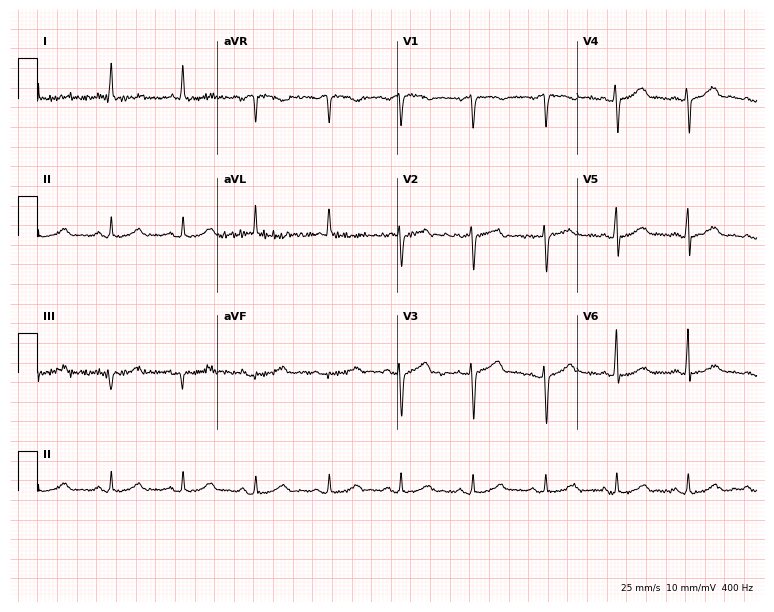
12-lead ECG from a 49-year-old female. Screened for six findings — first-degree AV block, right bundle branch block, left bundle branch block, sinus bradycardia, atrial fibrillation, sinus tachycardia — none is recorded.